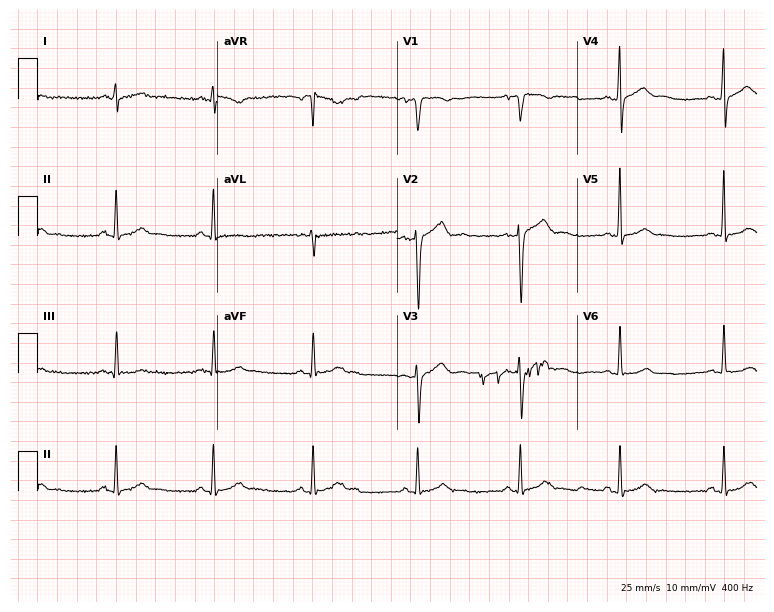
ECG (7.3-second recording at 400 Hz) — a 33-year-old male. Labelled as a normal ECG.